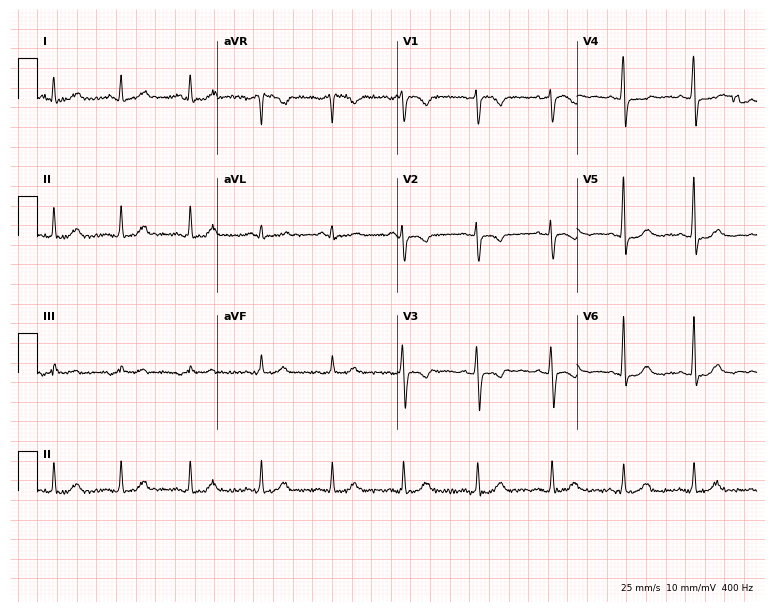
ECG (7.3-second recording at 400 Hz) — a woman, 43 years old. Screened for six findings — first-degree AV block, right bundle branch block, left bundle branch block, sinus bradycardia, atrial fibrillation, sinus tachycardia — none is recorded. Other findings, if any, are not listed.